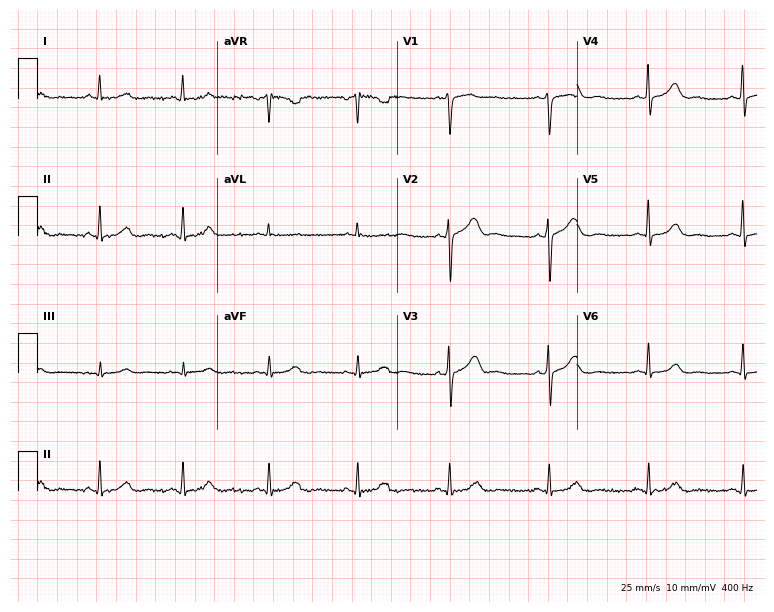
ECG — a female patient, 52 years old. Labelled as a normal ECG.